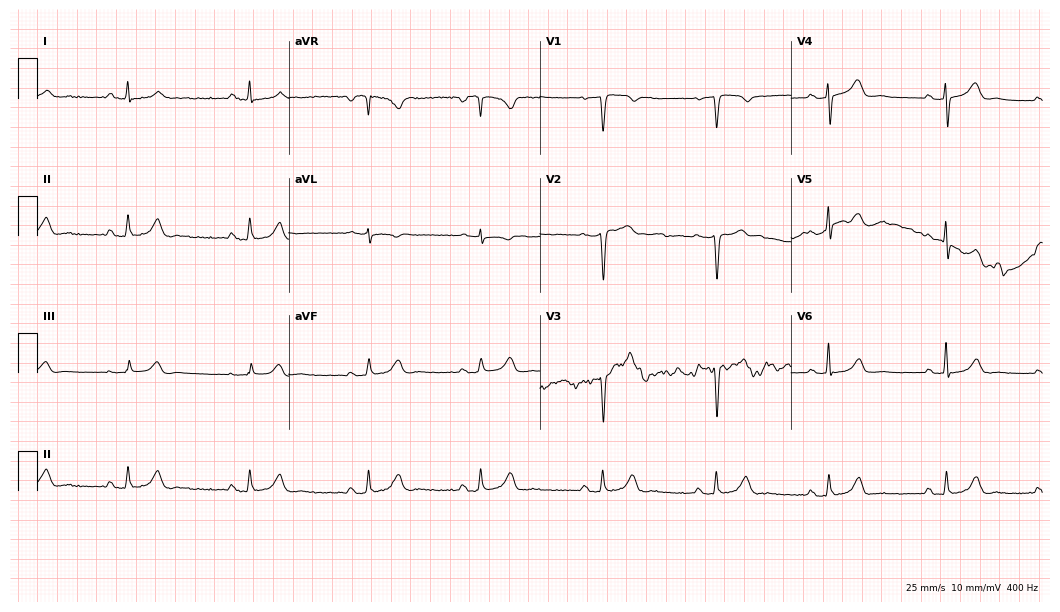
ECG — a female, 47 years old. Screened for six findings — first-degree AV block, right bundle branch block (RBBB), left bundle branch block (LBBB), sinus bradycardia, atrial fibrillation (AF), sinus tachycardia — none is recorded. Findings outside these six are not listed.